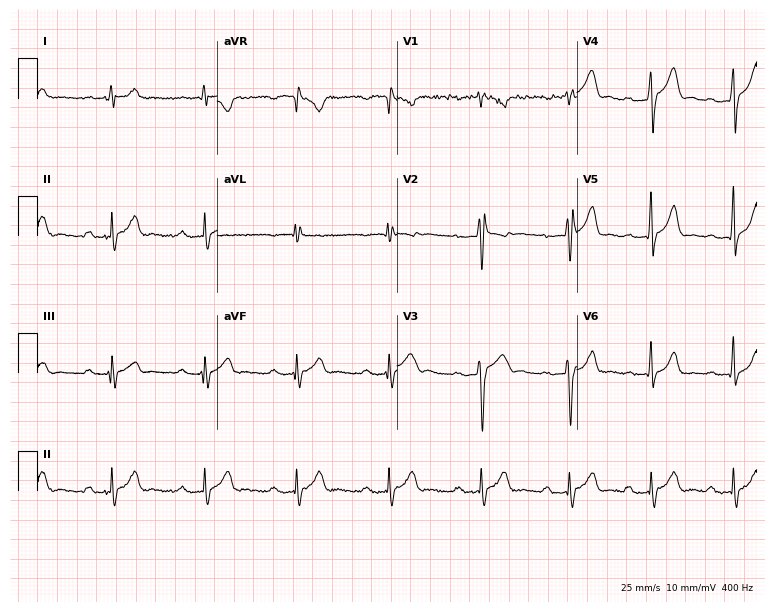
12-lead ECG from a 24-year-old man (7.3-second recording at 400 Hz). No first-degree AV block, right bundle branch block, left bundle branch block, sinus bradycardia, atrial fibrillation or sinus tachycardia recorded for this tracing.